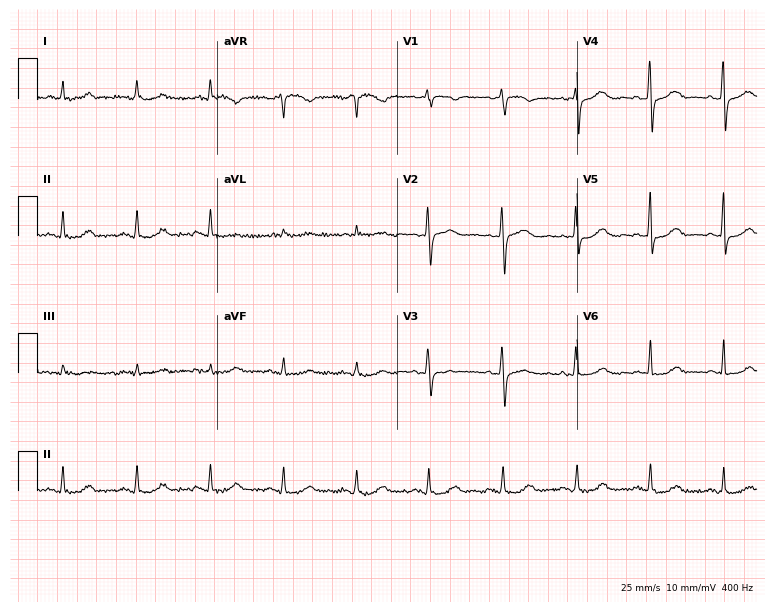
12-lead ECG from a female, 76 years old (7.3-second recording at 400 Hz). Recorded interpretation: within normal limits.